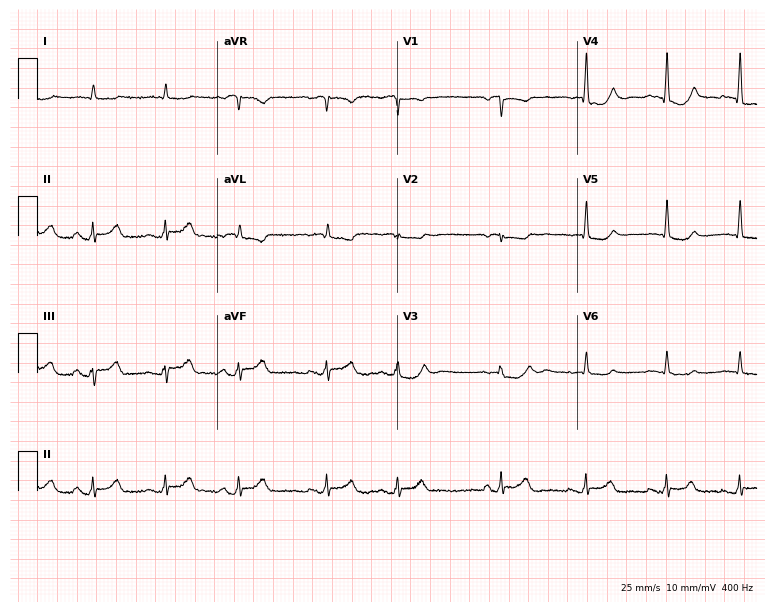
12-lead ECG from an 85-year-old male. No first-degree AV block, right bundle branch block, left bundle branch block, sinus bradycardia, atrial fibrillation or sinus tachycardia recorded for this tracing. Other findings, if any, are not listed.